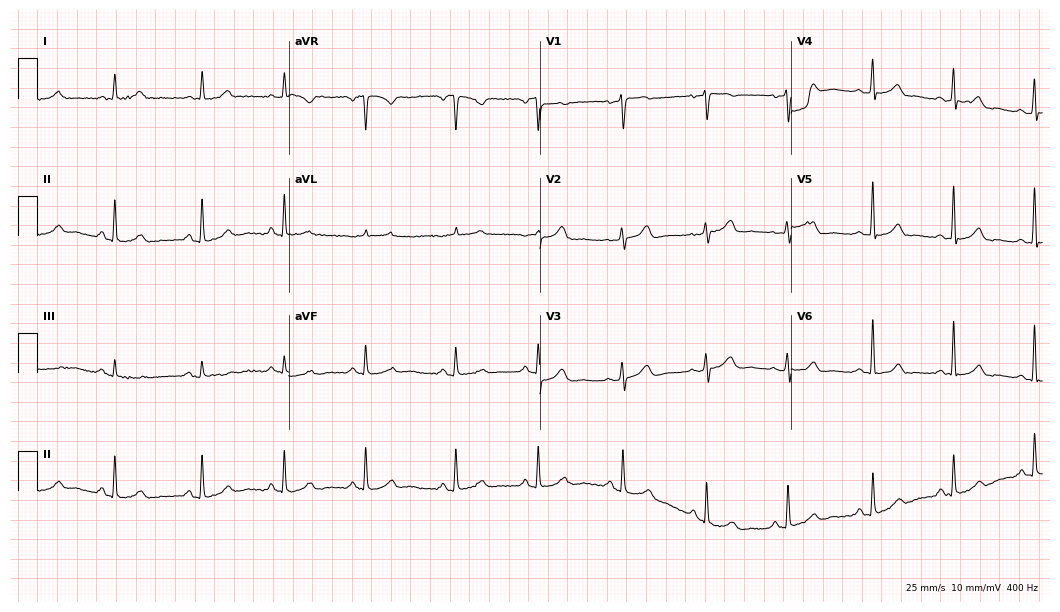
Resting 12-lead electrocardiogram. Patient: a 74-year-old female. Read as a normal ECG.